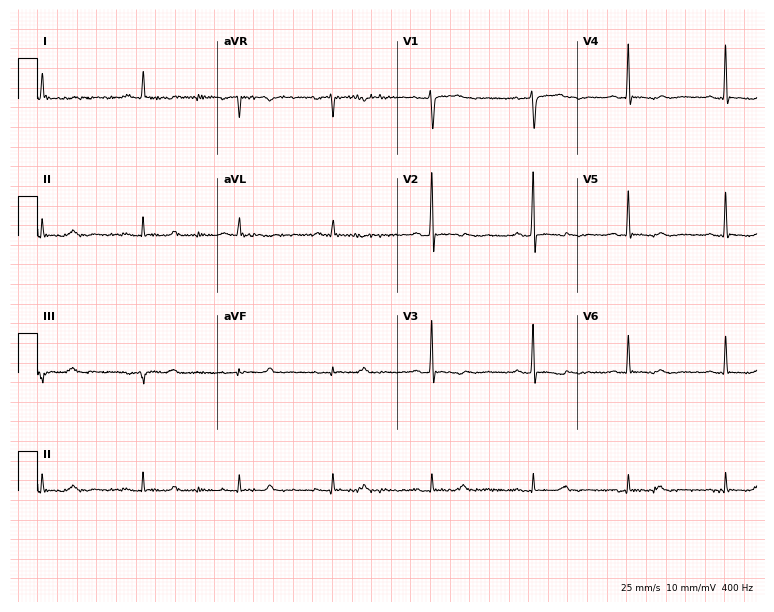
Electrocardiogram, a 72-year-old female. Of the six screened findings (first-degree AV block, right bundle branch block, left bundle branch block, sinus bradycardia, atrial fibrillation, sinus tachycardia), none is recorded.